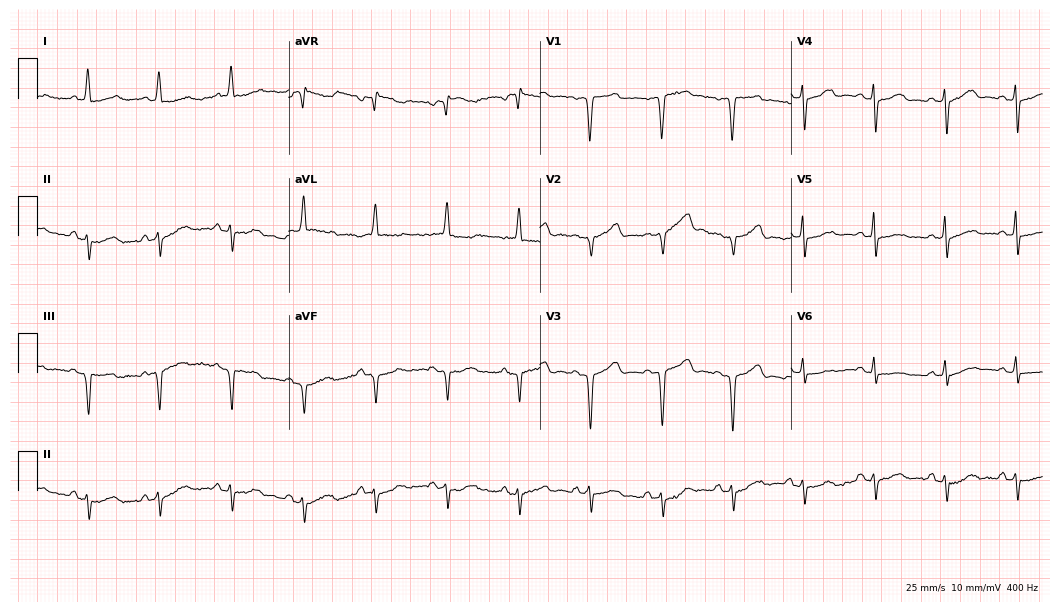
Standard 12-lead ECG recorded from an 86-year-old female patient (10.2-second recording at 400 Hz). None of these six findings is recorded: first-degree AV block, right bundle branch block, left bundle branch block, sinus bradycardia, atrial fibrillation, sinus tachycardia.